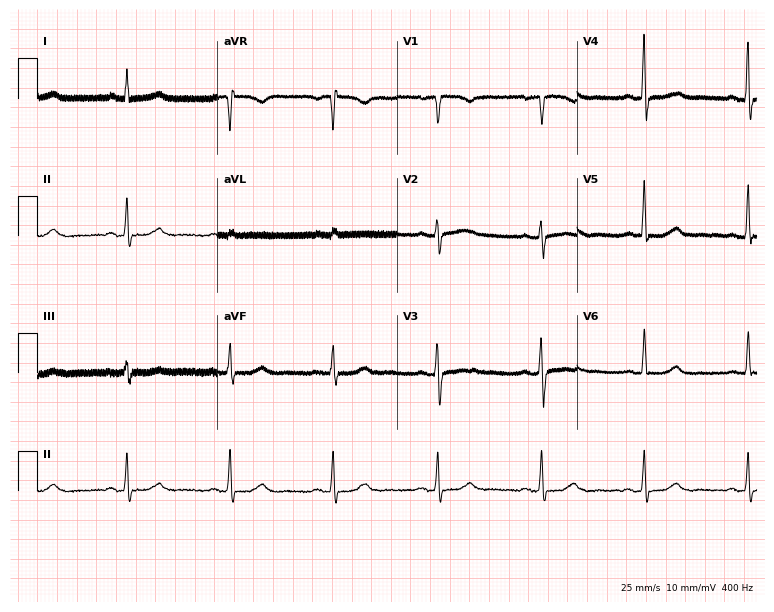
Resting 12-lead electrocardiogram. Patient: a 56-year-old female. None of these six findings is recorded: first-degree AV block, right bundle branch block, left bundle branch block, sinus bradycardia, atrial fibrillation, sinus tachycardia. Findings outside these six are not listed.